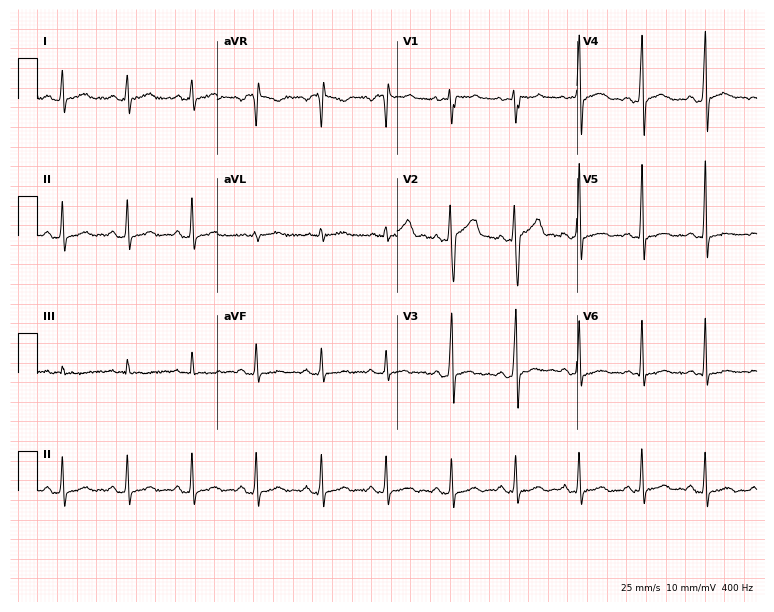
ECG (7.3-second recording at 400 Hz) — a man, 35 years old. Labelled as a normal ECG.